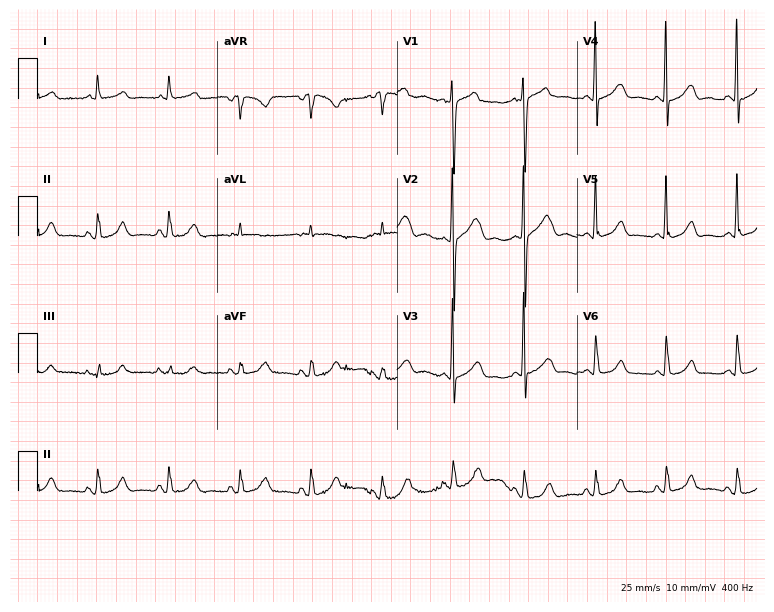
Electrocardiogram, a 74-year-old female. Of the six screened findings (first-degree AV block, right bundle branch block, left bundle branch block, sinus bradycardia, atrial fibrillation, sinus tachycardia), none is recorded. Findings outside these six are not listed.